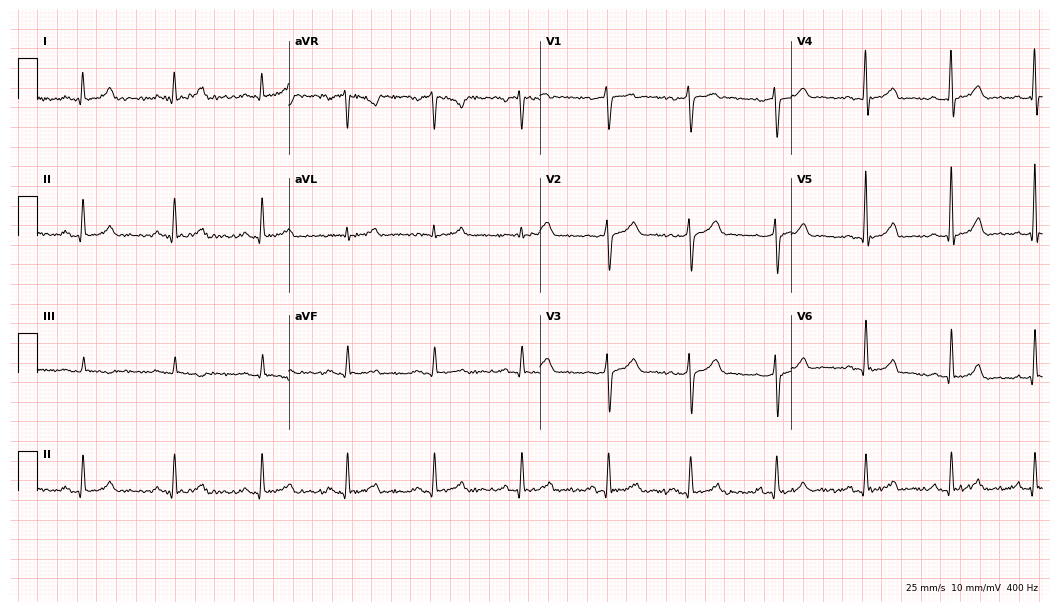
Resting 12-lead electrocardiogram (10.2-second recording at 400 Hz). Patient: a 38-year-old male. None of these six findings is recorded: first-degree AV block, right bundle branch block, left bundle branch block, sinus bradycardia, atrial fibrillation, sinus tachycardia. Findings outside these six are not listed.